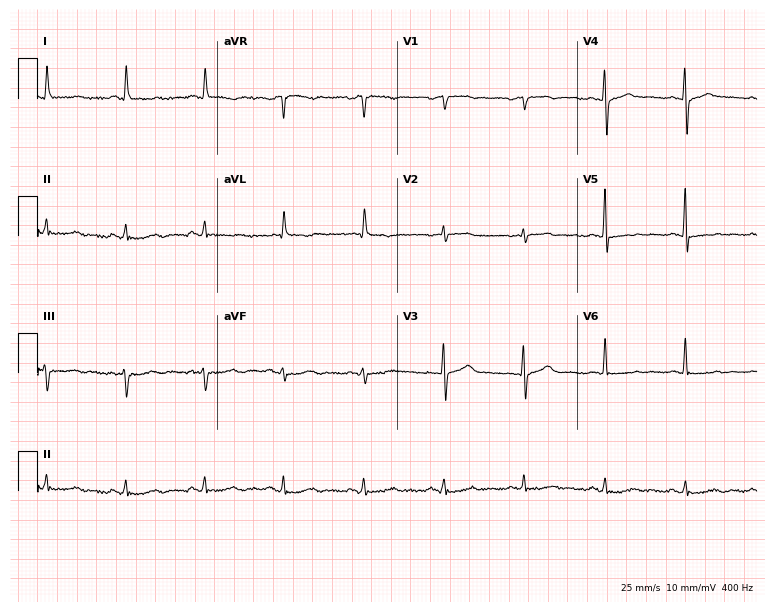
12-lead ECG from an 84-year-old woman. Screened for six findings — first-degree AV block, right bundle branch block, left bundle branch block, sinus bradycardia, atrial fibrillation, sinus tachycardia — none is recorded.